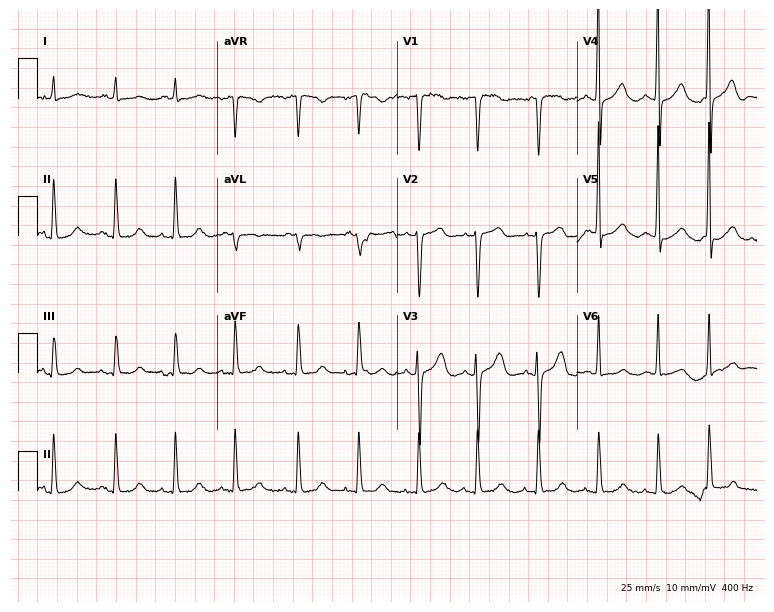
12-lead ECG (7.3-second recording at 400 Hz) from a male patient, 83 years old. Screened for six findings — first-degree AV block, right bundle branch block (RBBB), left bundle branch block (LBBB), sinus bradycardia, atrial fibrillation (AF), sinus tachycardia — none is recorded. Other findings, if any, are not listed.